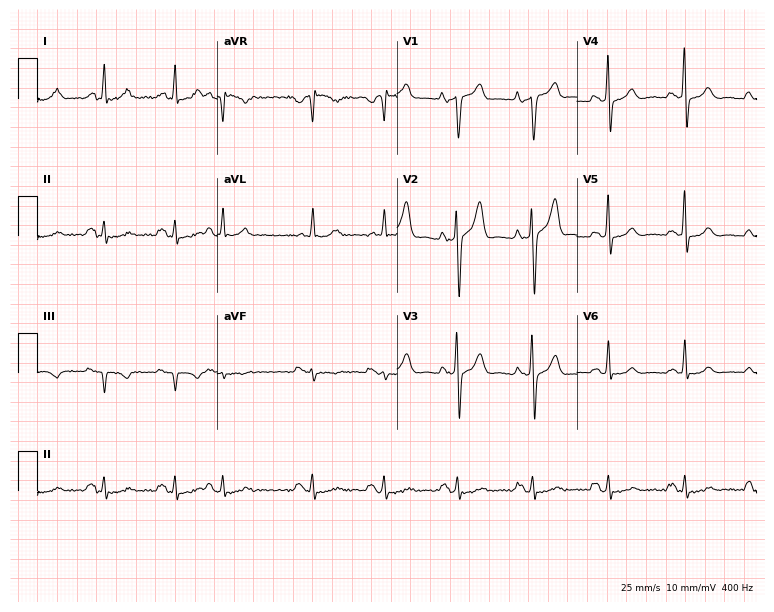
12-lead ECG (7.3-second recording at 400 Hz) from a male, 69 years old. Screened for six findings — first-degree AV block, right bundle branch block (RBBB), left bundle branch block (LBBB), sinus bradycardia, atrial fibrillation (AF), sinus tachycardia — none is recorded.